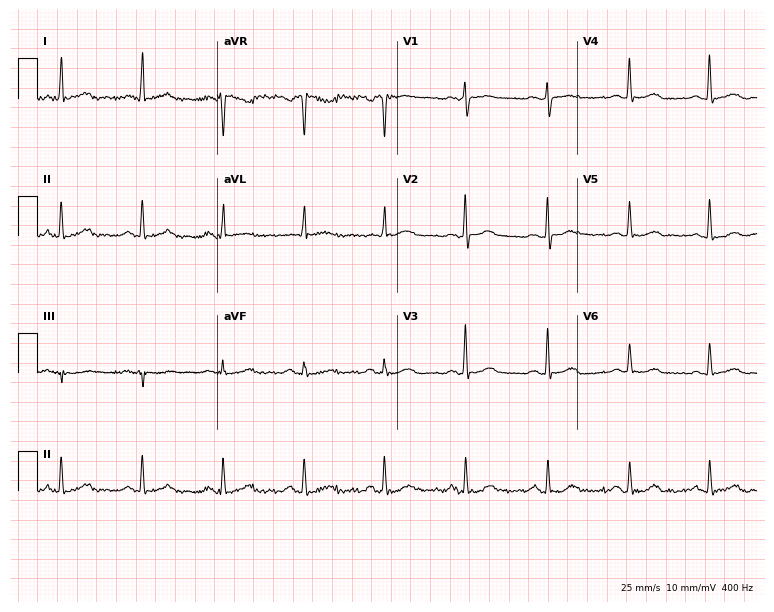
12-lead ECG from a female patient, 61 years old. No first-degree AV block, right bundle branch block, left bundle branch block, sinus bradycardia, atrial fibrillation or sinus tachycardia recorded for this tracing. Findings outside these six are not listed.